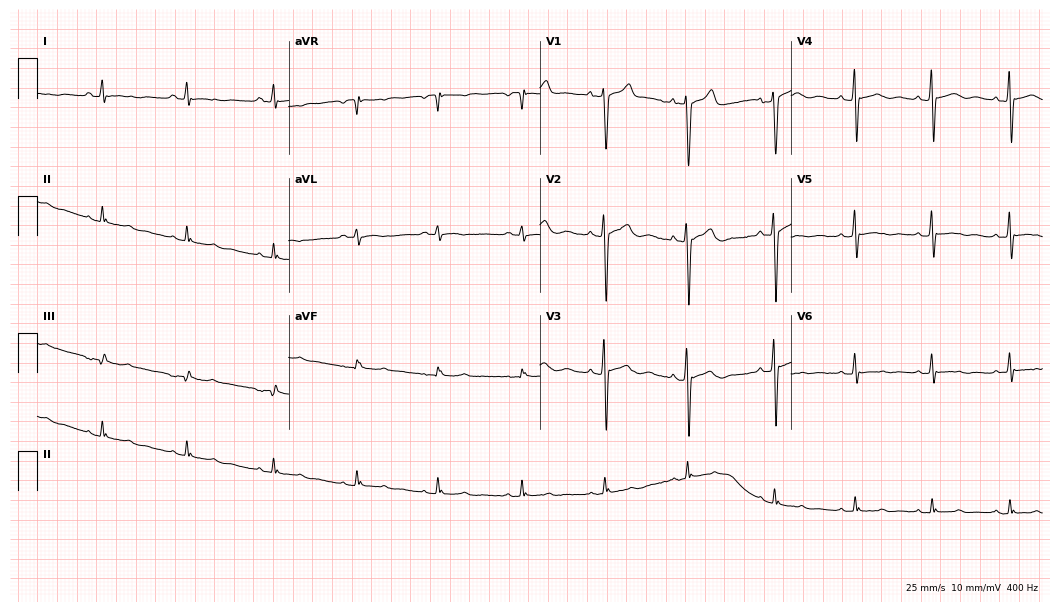
Standard 12-lead ECG recorded from a male, 36 years old (10.2-second recording at 400 Hz). None of these six findings is recorded: first-degree AV block, right bundle branch block (RBBB), left bundle branch block (LBBB), sinus bradycardia, atrial fibrillation (AF), sinus tachycardia. Other findings, if any, are not listed.